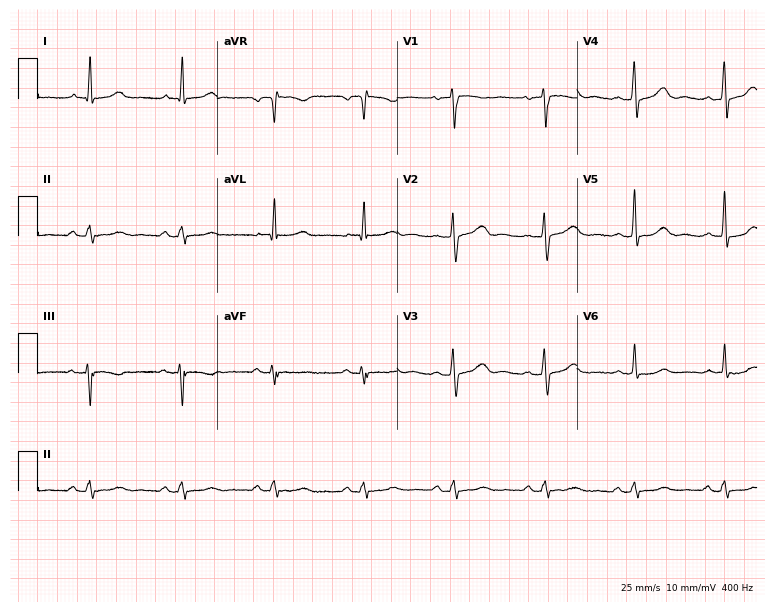
Resting 12-lead electrocardiogram (7.3-second recording at 400 Hz). Patient: a male, 75 years old. None of these six findings is recorded: first-degree AV block, right bundle branch block (RBBB), left bundle branch block (LBBB), sinus bradycardia, atrial fibrillation (AF), sinus tachycardia.